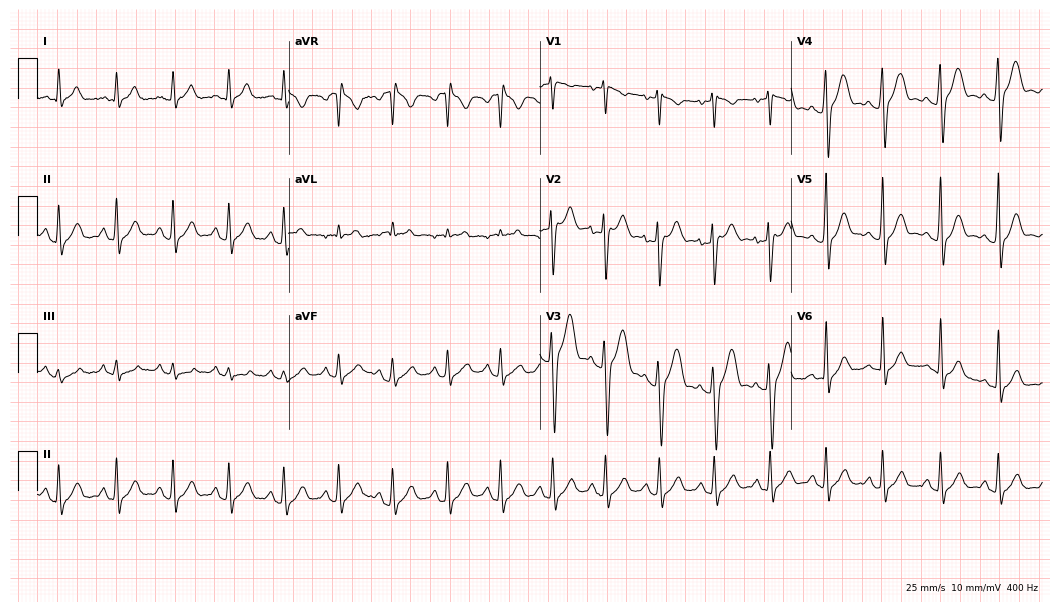
Standard 12-lead ECG recorded from a male, 23 years old. The tracing shows sinus tachycardia (a sinus rate of 100 beats per minute or more).